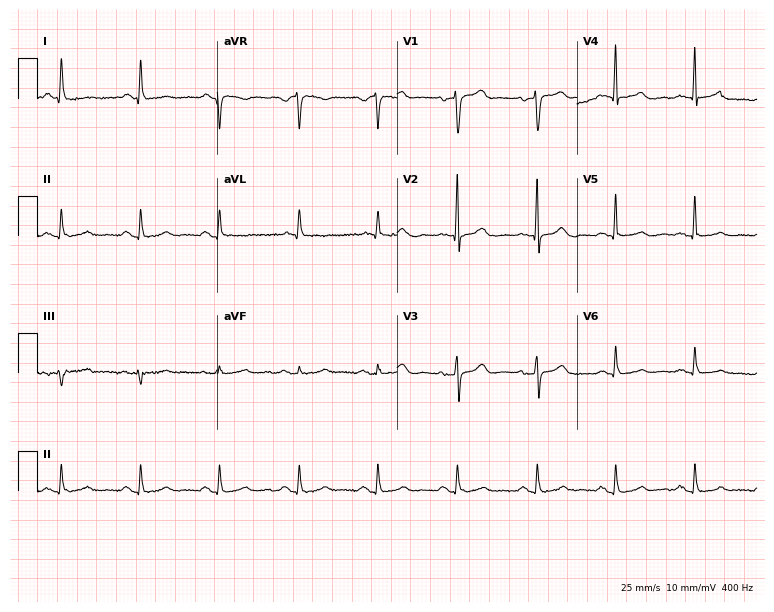
12-lead ECG from a male patient, 56 years old (7.3-second recording at 400 Hz). Recorded interpretation: within normal limits.